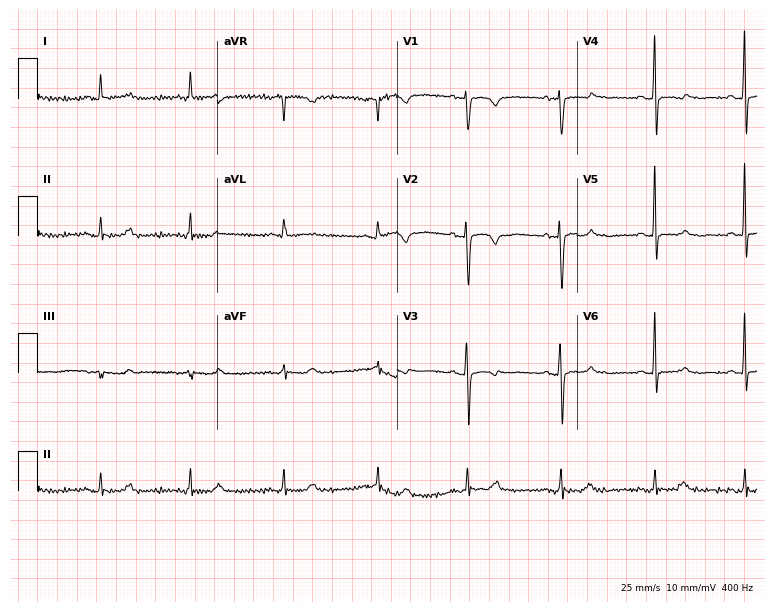
12-lead ECG from a woman, 66 years old. Labelled as a normal ECG.